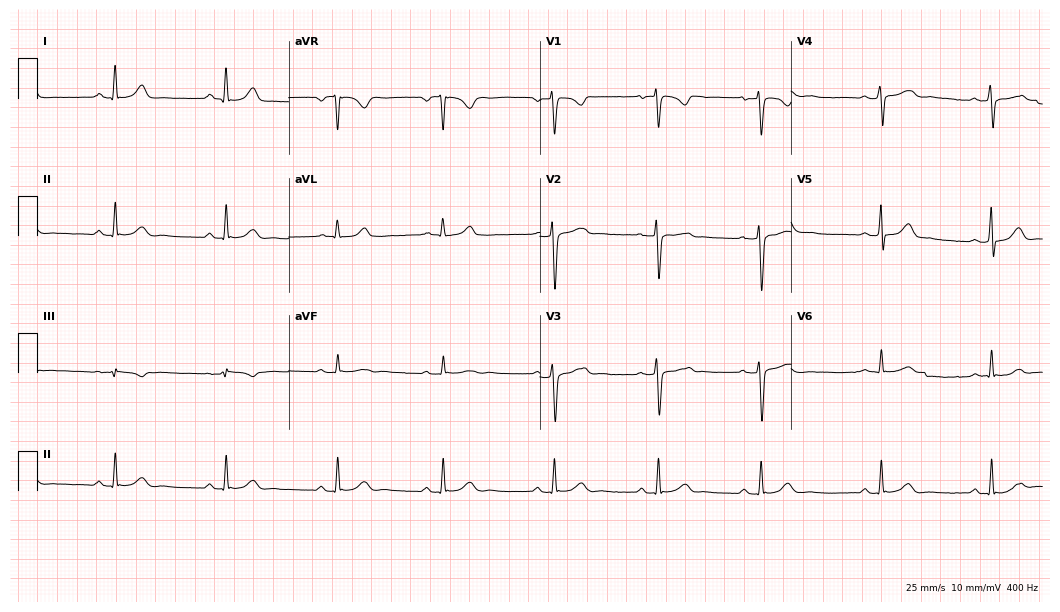
ECG — a female, 31 years old. Labelled as a normal ECG.